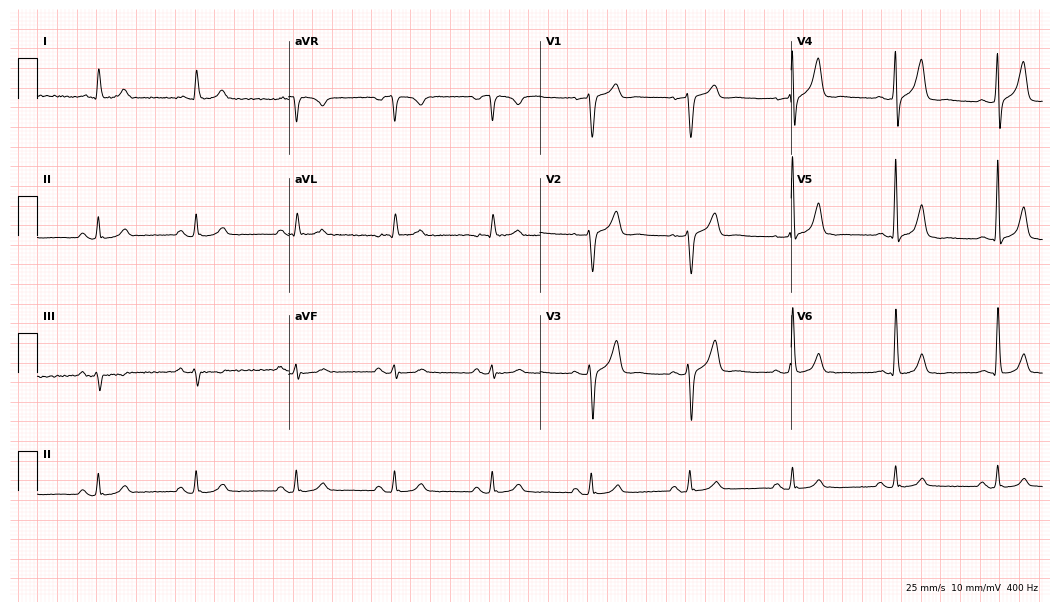
12-lead ECG from a 70-year-old man (10.2-second recording at 400 Hz). No first-degree AV block, right bundle branch block, left bundle branch block, sinus bradycardia, atrial fibrillation or sinus tachycardia recorded for this tracing. Other findings, if any, are not listed.